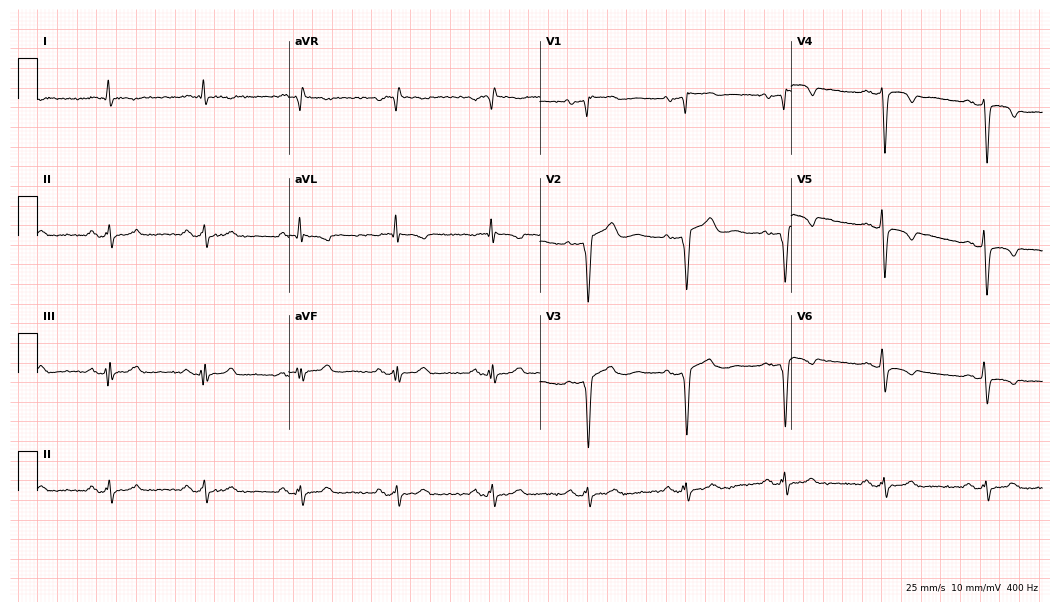
12-lead ECG from an 83-year-old male patient. Screened for six findings — first-degree AV block, right bundle branch block, left bundle branch block, sinus bradycardia, atrial fibrillation, sinus tachycardia — none is recorded. Other findings, if any, are not listed.